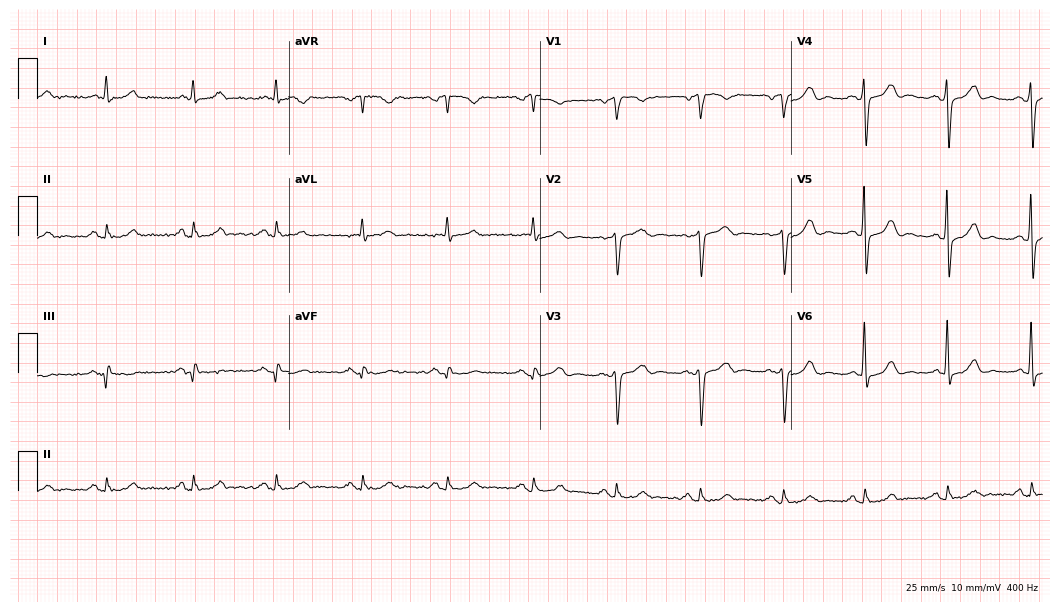
12-lead ECG from a male patient, 63 years old. No first-degree AV block, right bundle branch block (RBBB), left bundle branch block (LBBB), sinus bradycardia, atrial fibrillation (AF) or sinus tachycardia recorded for this tracing. Other findings, if any, are not listed.